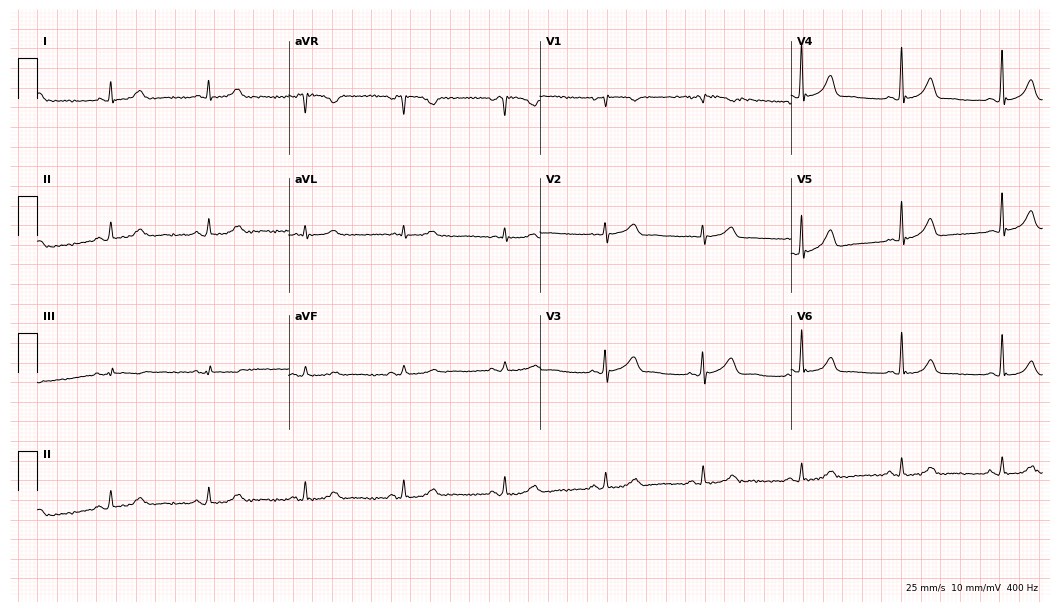
Standard 12-lead ECG recorded from a 77-year-old woman (10.2-second recording at 400 Hz). None of these six findings is recorded: first-degree AV block, right bundle branch block, left bundle branch block, sinus bradycardia, atrial fibrillation, sinus tachycardia.